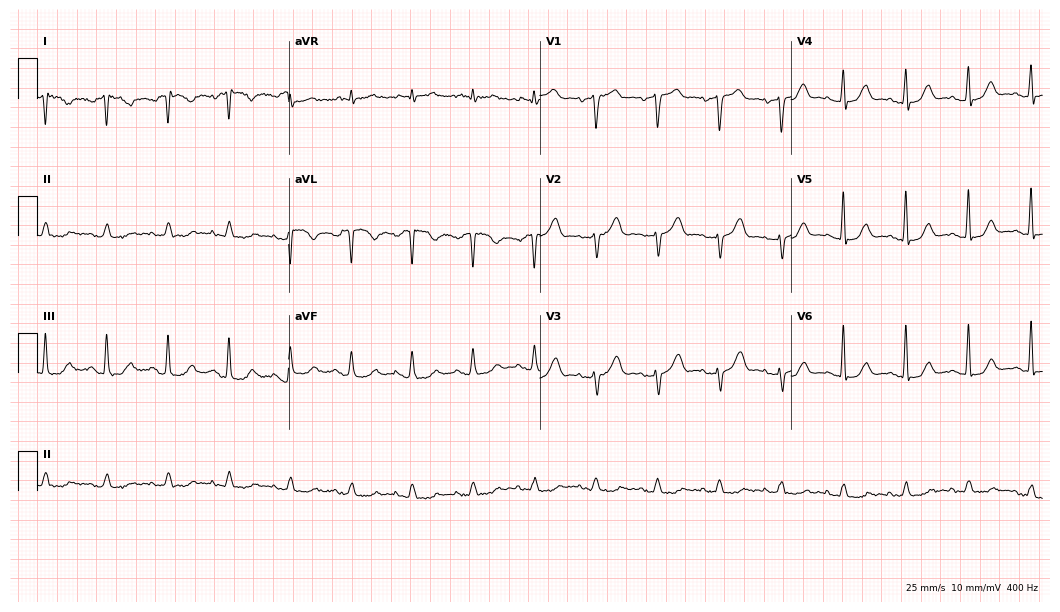
12-lead ECG (10.2-second recording at 400 Hz) from a 68-year-old female patient. Screened for six findings — first-degree AV block, right bundle branch block, left bundle branch block, sinus bradycardia, atrial fibrillation, sinus tachycardia — none is recorded. Only these six findings were labelled.